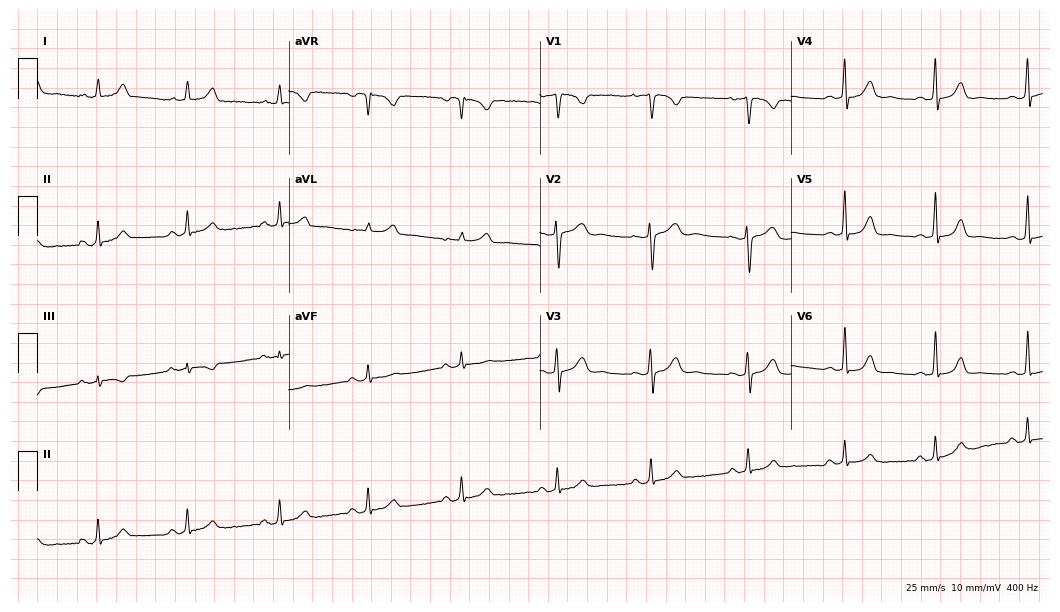
12-lead ECG from a female patient, 34 years old (10.2-second recording at 400 Hz). Recorded interpretation: within normal limits.